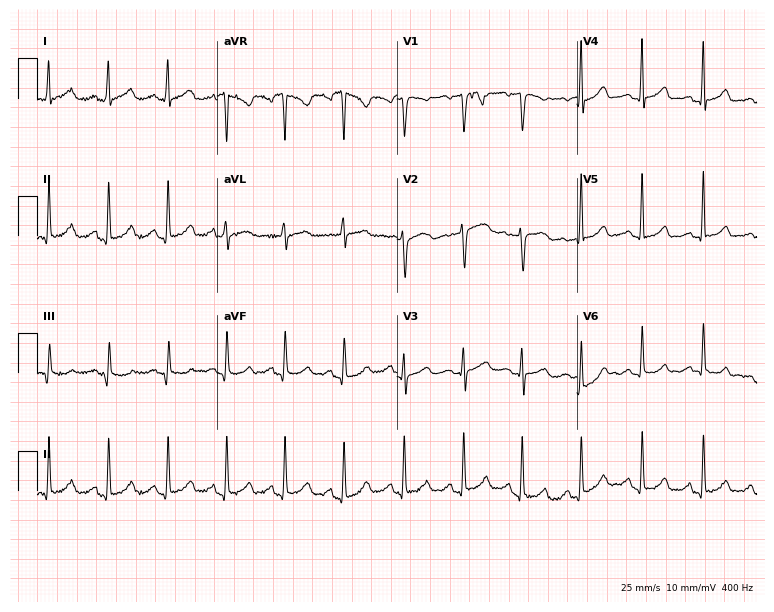
12-lead ECG (7.3-second recording at 400 Hz) from a woman, 49 years old. Screened for six findings — first-degree AV block, right bundle branch block (RBBB), left bundle branch block (LBBB), sinus bradycardia, atrial fibrillation (AF), sinus tachycardia — none is recorded. Findings outside these six are not listed.